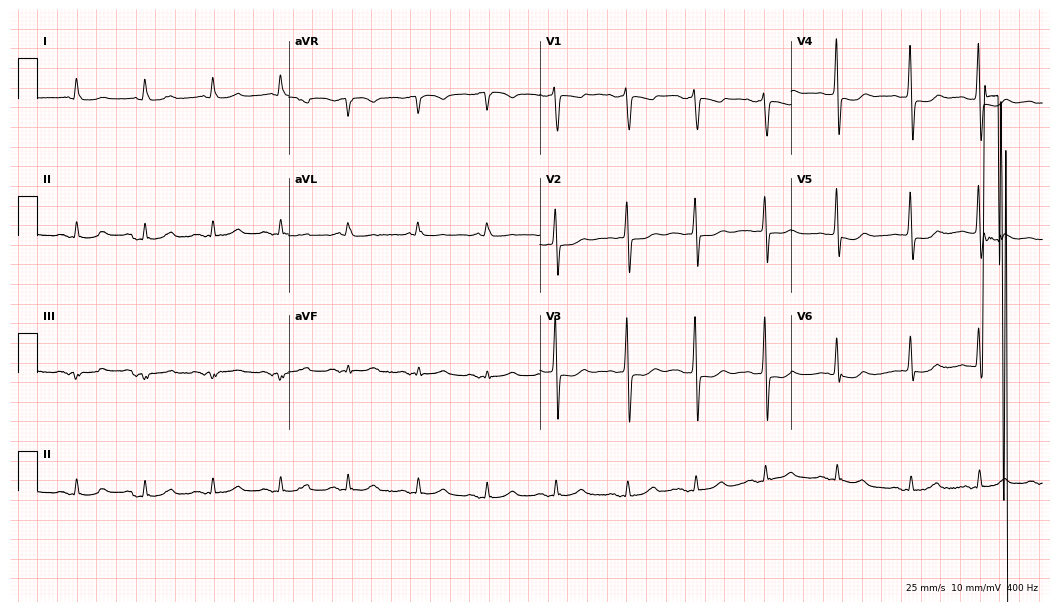
Standard 12-lead ECG recorded from an 87-year-old woman. None of these six findings is recorded: first-degree AV block, right bundle branch block (RBBB), left bundle branch block (LBBB), sinus bradycardia, atrial fibrillation (AF), sinus tachycardia. Findings outside these six are not listed.